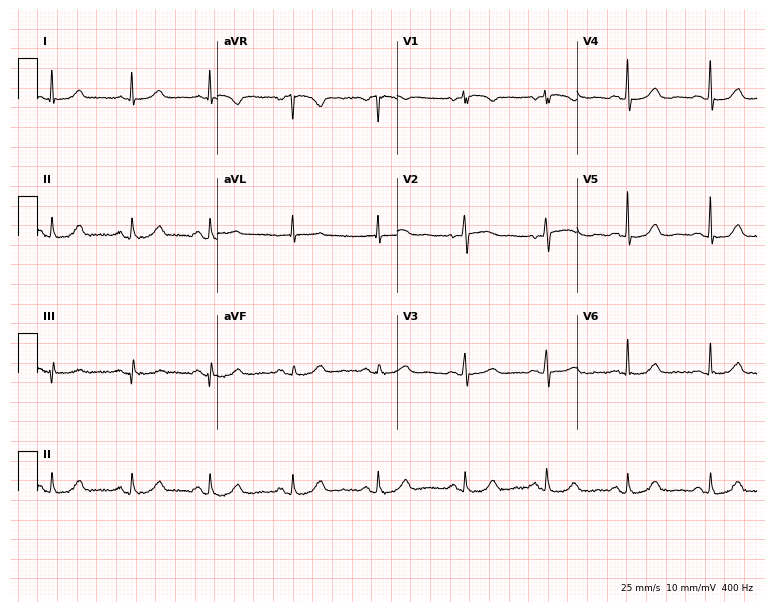
Standard 12-lead ECG recorded from a woman, 81 years old. Read as a normal ECG.